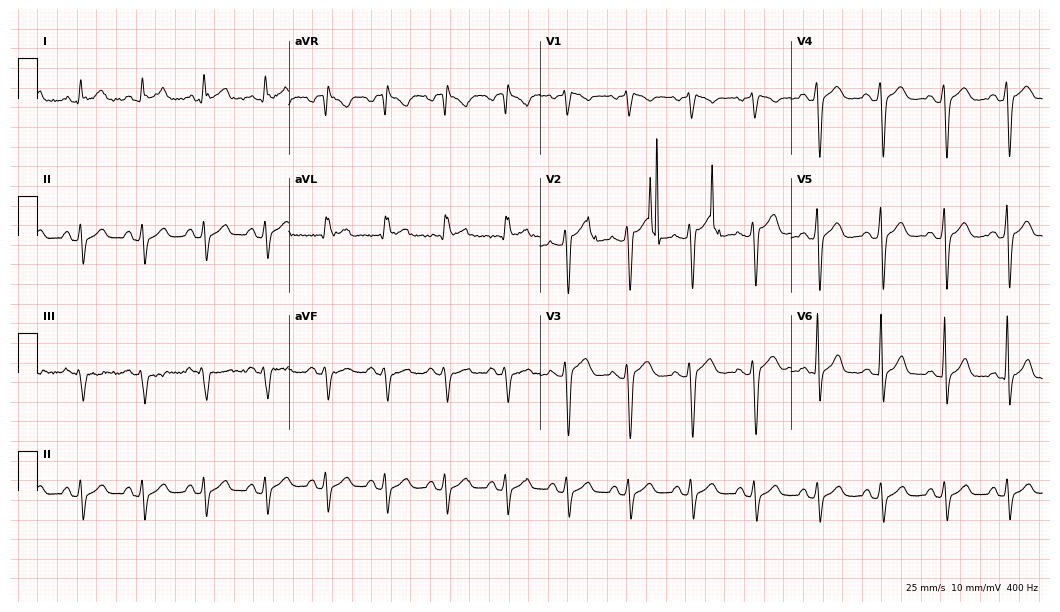
12-lead ECG from a male, 47 years old. Screened for six findings — first-degree AV block, right bundle branch block, left bundle branch block, sinus bradycardia, atrial fibrillation, sinus tachycardia — none is recorded. Only these six findings were labelled.